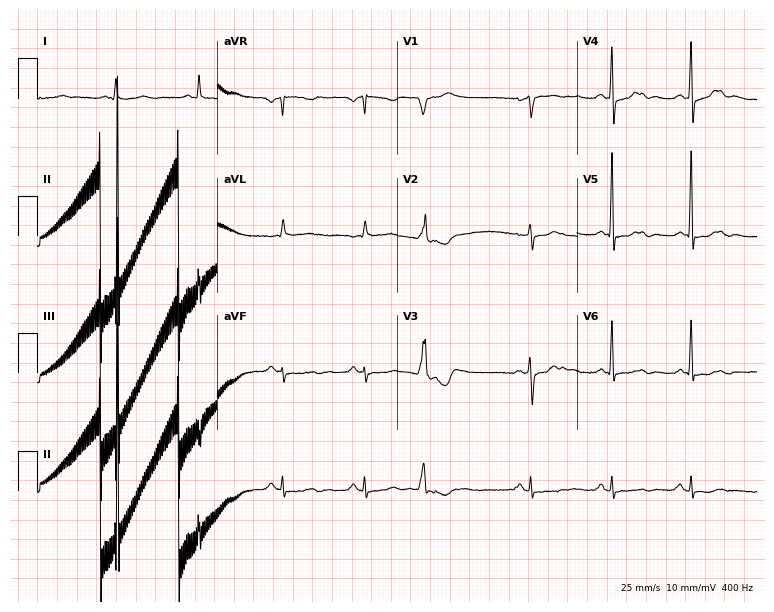
Electrocardiogram, an 83-year-old female. Of the six screened findings (first-degree AV block, right bundle branch block (RBBB), left bundle branch block (LBBB), sinus bradycardia, atrial fibrillation (AF), sinus tachycardia), none is recorded. Findings outside these six are not listed.